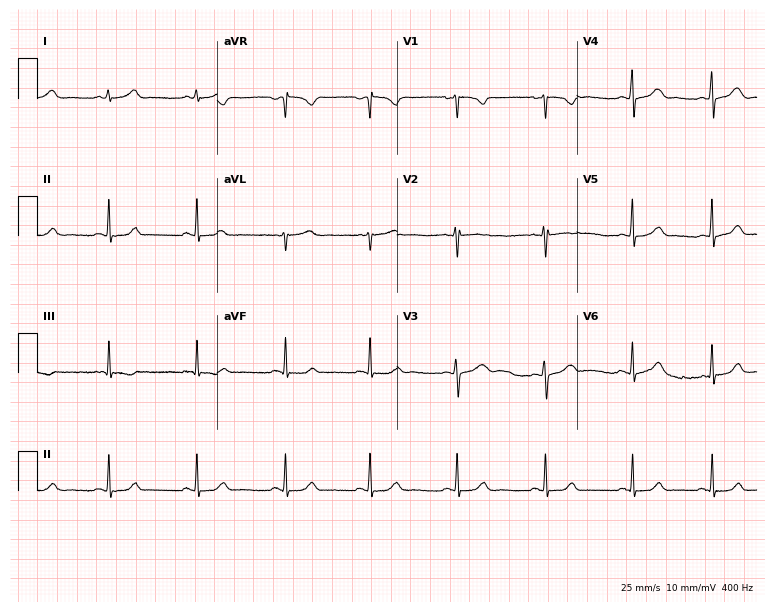
Standard 12-lead ECG recorded from a 17-year-old woman (7.3-second recording at 400 Hz). Read as a normal ECG.